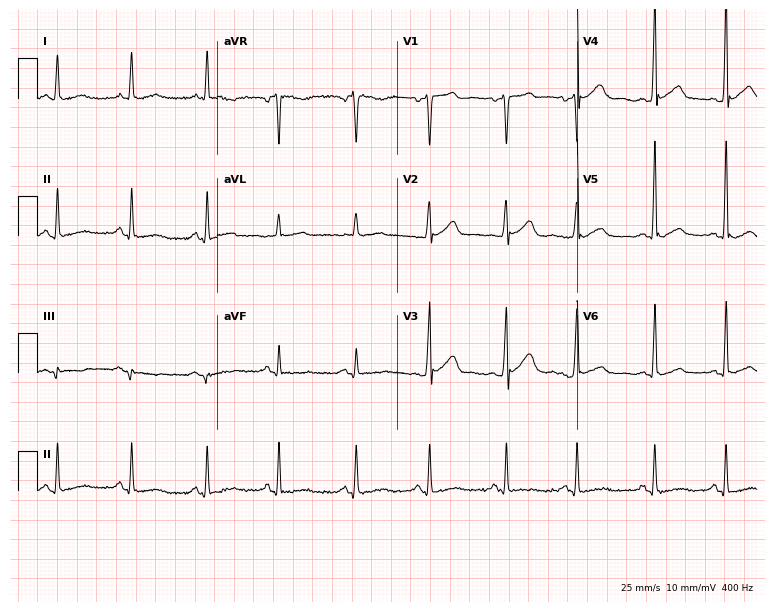
Standard 12-lead ECG recorded from a female patient, 60 years old. Read as a normal ECG.